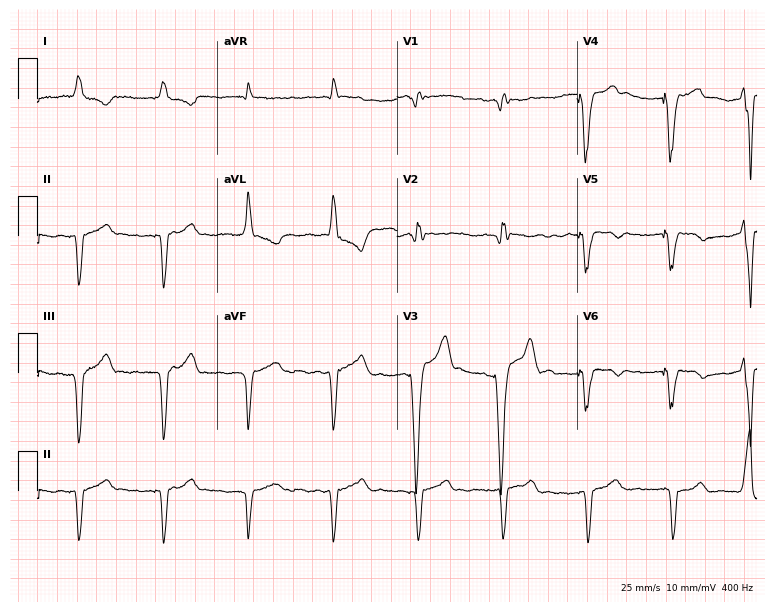
12-lead ECG from a woman, 84 years old. Screened for six findings — first-degree AV block, right bundle branch block (RBBB), left bundle branch block (LBBB), sinus bradycardia, atrial fibrillation (AF), sinus tachycardia — none is recorded. Only these six findings were labelled.